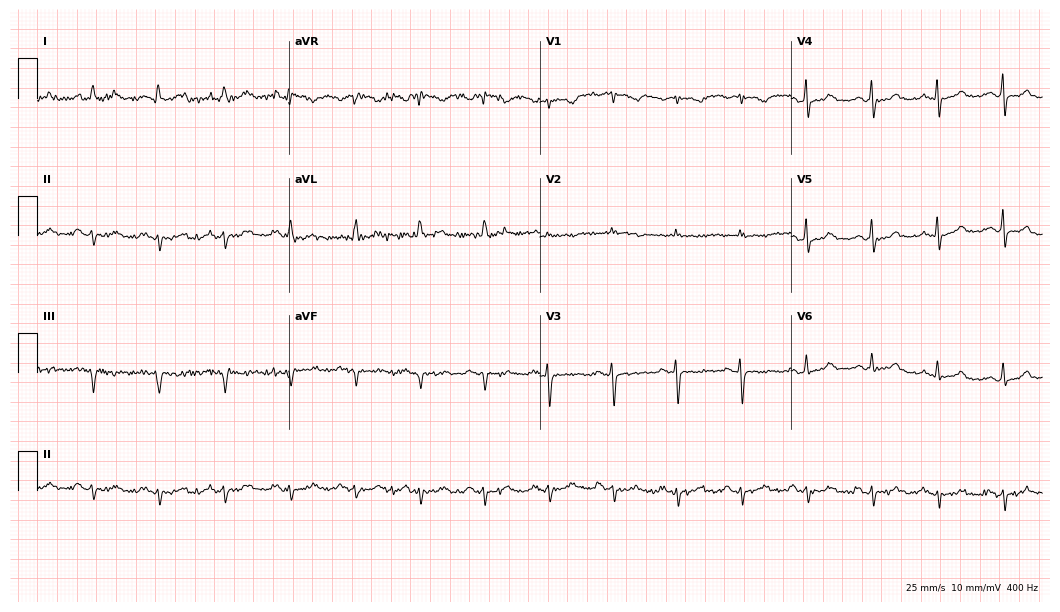
Resting 12-lead electrocardiogram (10.2-second recording at 400 Hz). Patient: a 73-year-old female. None of these six findings is recorded: first-degree AV block, right bundle branch block, left bundle branch block, sinus bradycardia, atrial fibrillation, sinus tachycardia.